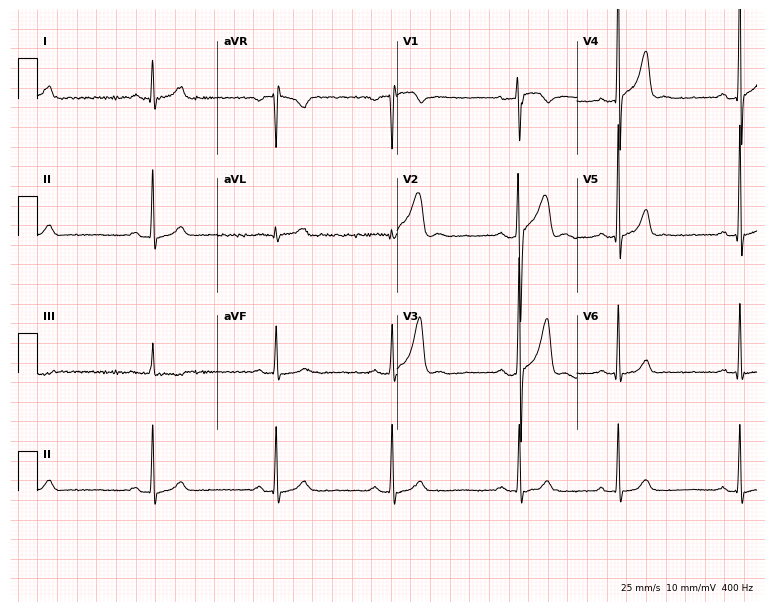
12-lead ECG from a 25-year-old female. Shows sinus bradycardia (a sinus rate of 50 beats per minute or less).